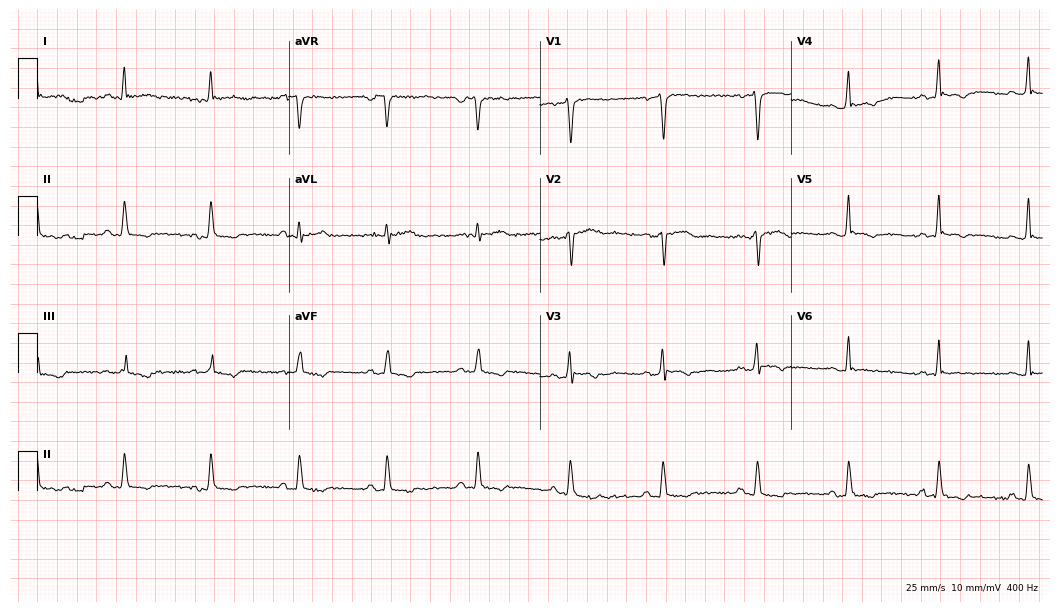
Resting 12-lead electrocardiogram. Patient: a 56-year-old male. None of these six findings is recorded: first-degree AV block, right bundle branch block, left bundle branch block, sinus bradycardia, atrial fibrillation, sinus tachycardia.